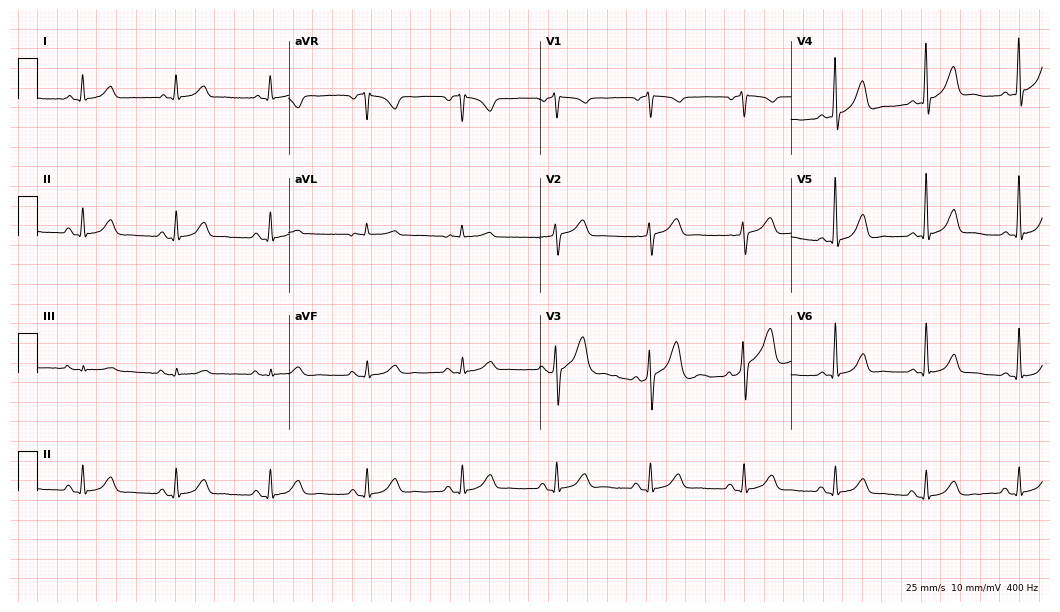
ECG (10.2-second recording at 400 Hz) — a man, 62 years old. Labelled as a normal ECG.